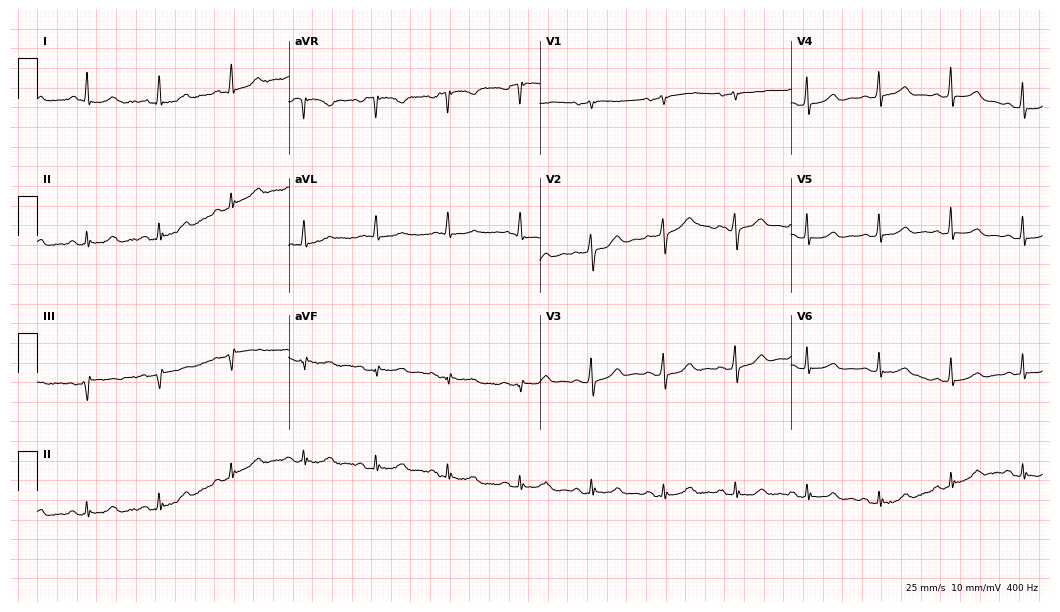
12-lead ECG from a 71-year-old female patient. Screened for six findings — first-degree AV block, right bundle branch block (RBBB), left bundle branch block (LBBB), sinus bradycardia, atrial fibrillation (AF), sinus tachycardia — none is recorded. Only these six findings were labelled.